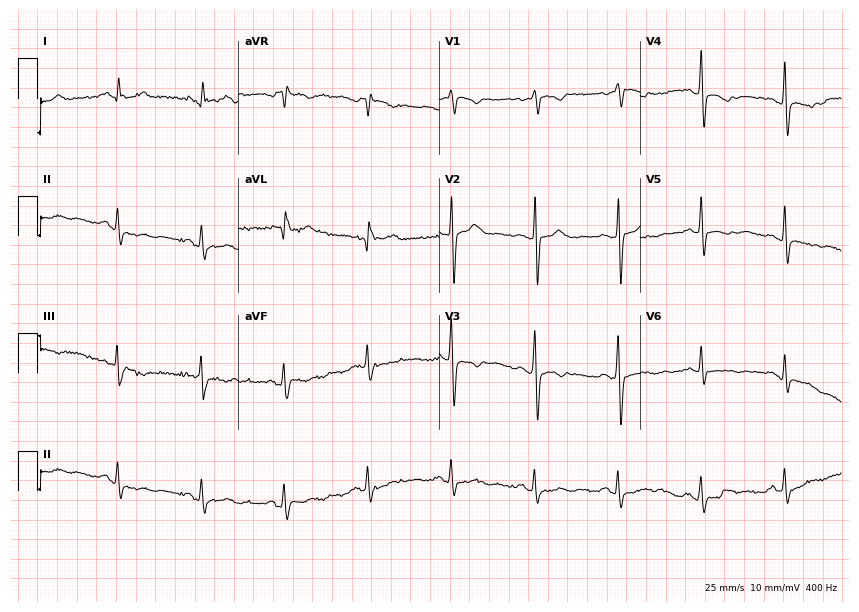
Electrocardiogram, a male patient, 52 years old. Of the six screened findings (first-degree AV block, right bundle branch block (RBBB), left bundle branch block (LBBB), sinus bradycardia, atrial fibrillation (AF), sinus tachycardia), none is recorded.